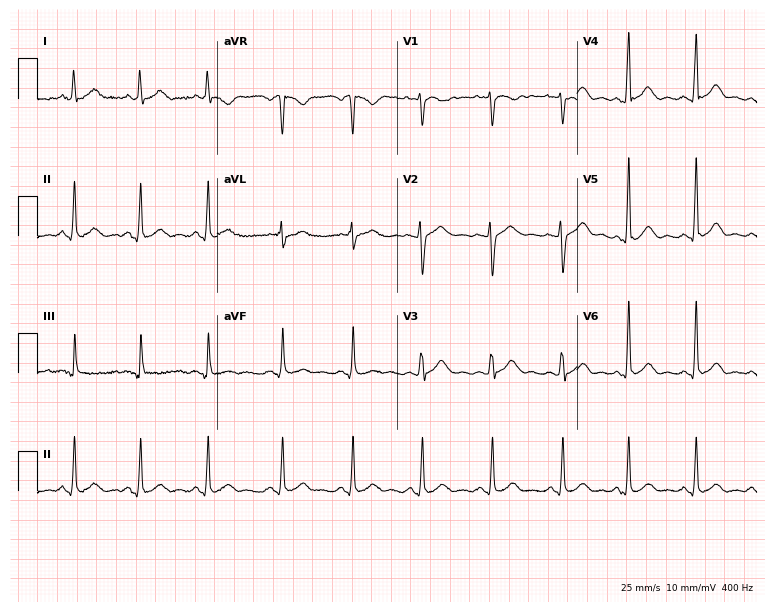
12-lead ECG (7.3-second recording at 400 Hz) from a 27-year-old woman. Screened for six findings — first-degree AV block, right bundle branch block, left bundle branch block, sinus bradycardia, atrial fibrillation, sinus tachycardia — none is recorded.